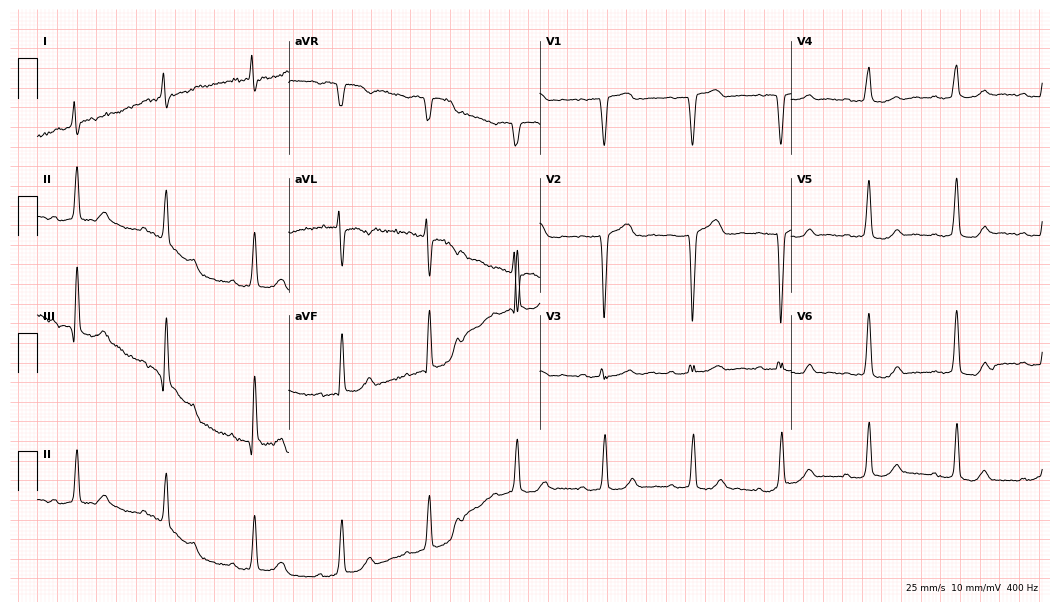
12-lead ECG from a woman, 77 years old. Screened for six findings — first-degree AV block, right bundle branch block, left bundle branch block, sinus bradycardia, atrial fibrillation, sinus tachycardia — none is recorded.